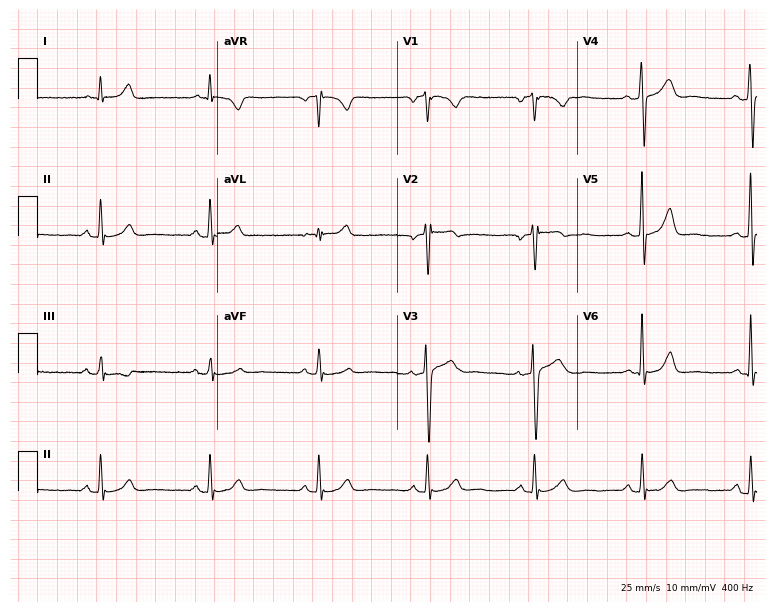
Standard 12-lead ECG recorded from a male, 56 years old (7.3-second recording at 400 Hz). None of these six findings is recorded: first-degree AV block, right bundle branch block (RBBB), left bundle branch block (LBBB), sinus bradycardia, atrial fibrillation (AF), sinus tachycardia. Findings outside these six are not listed.